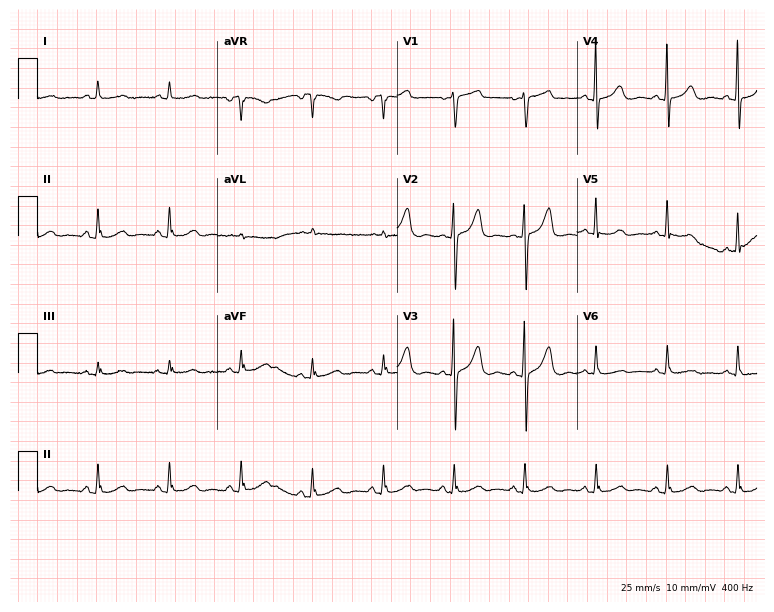
12-lead ECG (7.3-second recording at 400 Hz) from a 70-year-old female patient. Screened for six findings — first-degree AV block, right bundle branch block, left bundle branch block, sinus bradycardia, atrial fibrillation, sinus tachycardia — none is recorded.